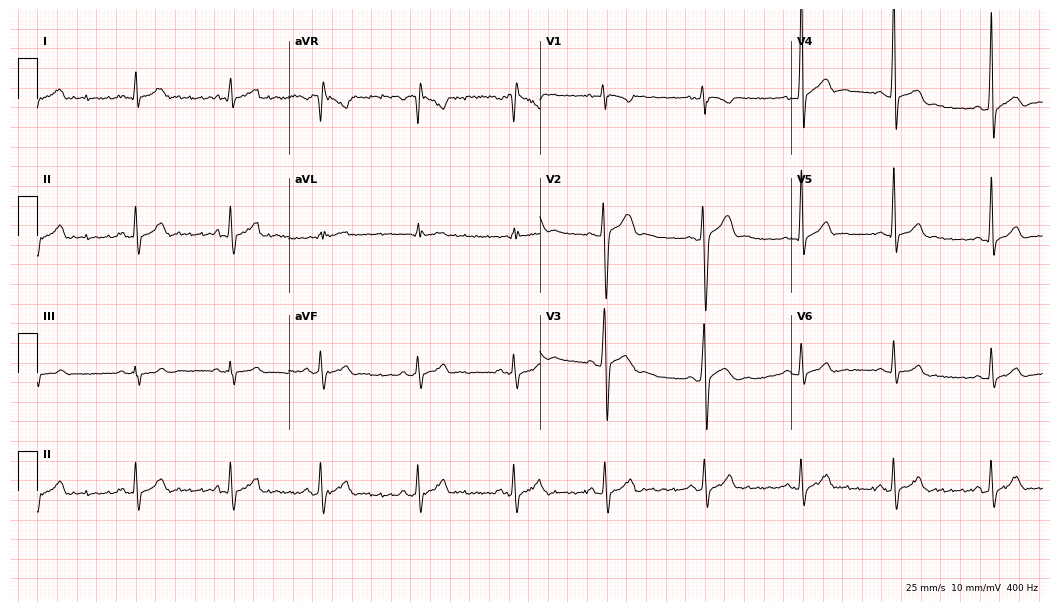
Standard 12-lead ECG recorded from a male patient, 18 years old (10.2-second recording at 400 Hz). Read as a normal ECG.